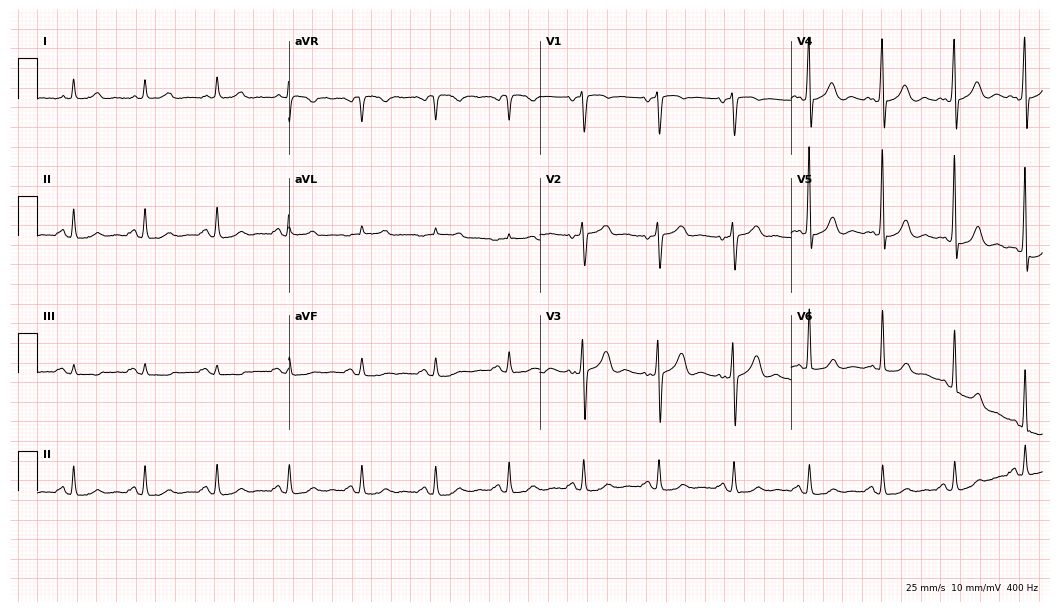
12-lead ECG from a 69-year-old male patient (10.2-second recording at 400 Hz). No first-degree AV block, right bundle branch block (RBBB), left bundle branch block (LBBB), sinus bradycardia, atrial fibrillation (AF) or sinus tachycardia recorded for this tracing.